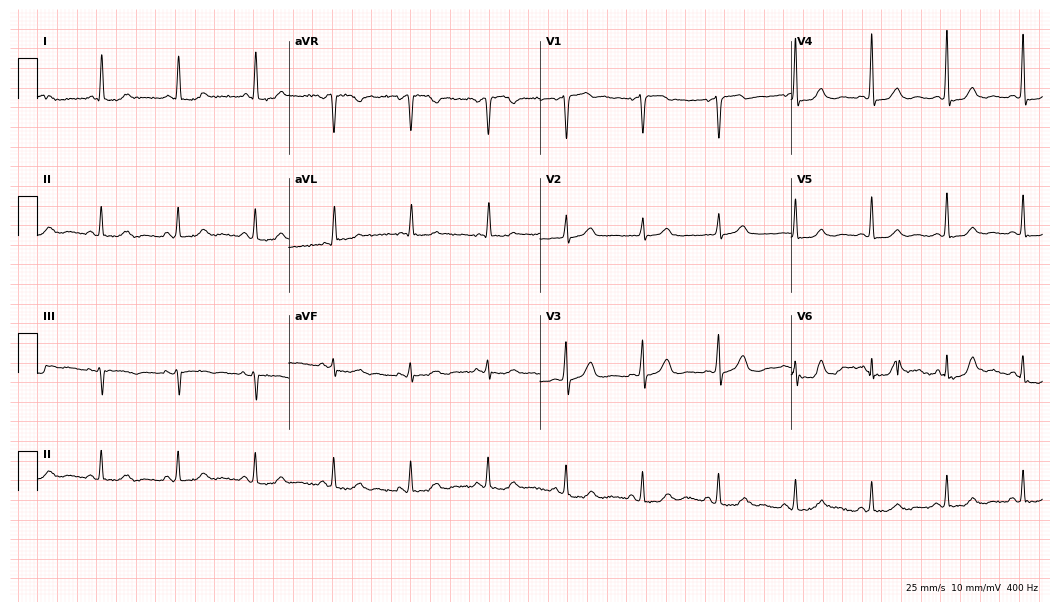
Standard 12-lead ECG recorded from a 65-year-old female (10.2-second recording at 400 Hz). Read as a normal ECG.